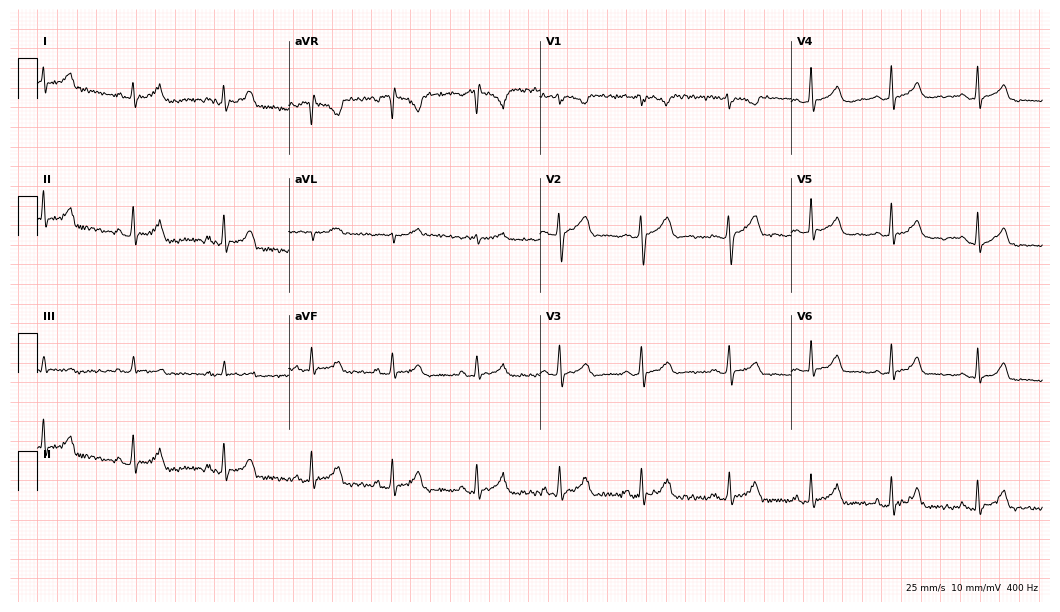
12-lead ECG from a female patient, 25 years old. Labelled as a normal ECG.